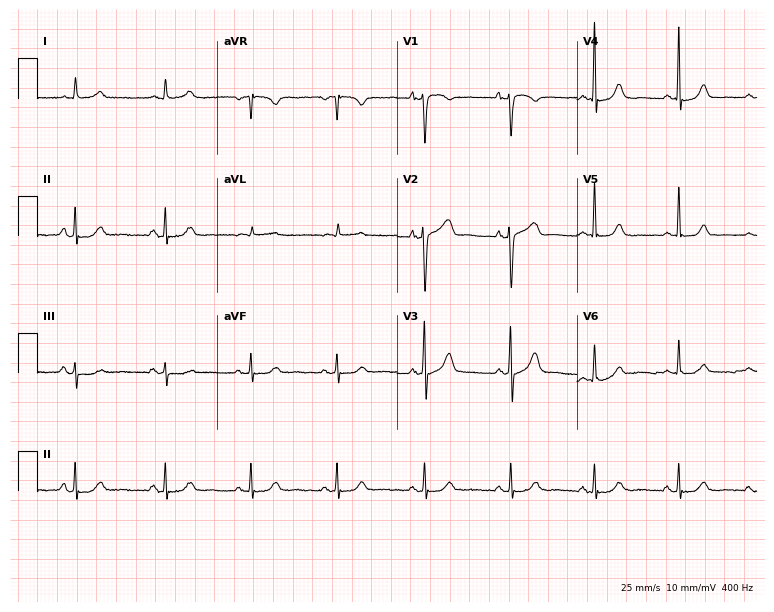
Standard 12-lead ECG recorded from a female patient, 65 years old. Read as a normal ECG.